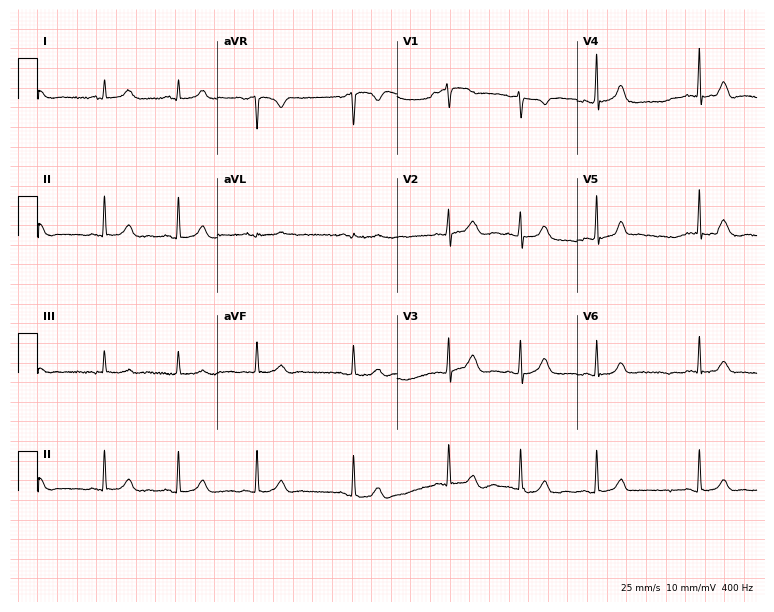
12-lead ECG (7.3-second recording at 400 Hz) from a woman, 22 years old. Screened for six findings — first-degree AV block, right bundle branch block, left bundle branch block, sinus bradycardia, atrial fibrillation, sinus tachycardia — none is recorded.